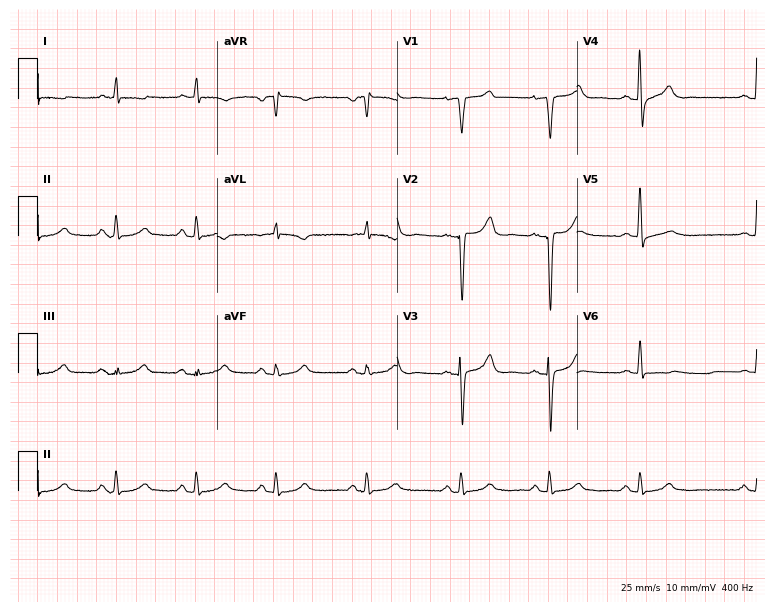
ECG (7.3-second recording at 400 Hz) — a male, 73 years old. Screened for six findings — first-degree AV block, right bundle branch block, left bundle branch block, sinus bradycardia, atrial fibrillation, sinus tachycardia — none is recorded. Other findings, if any, are not listed.